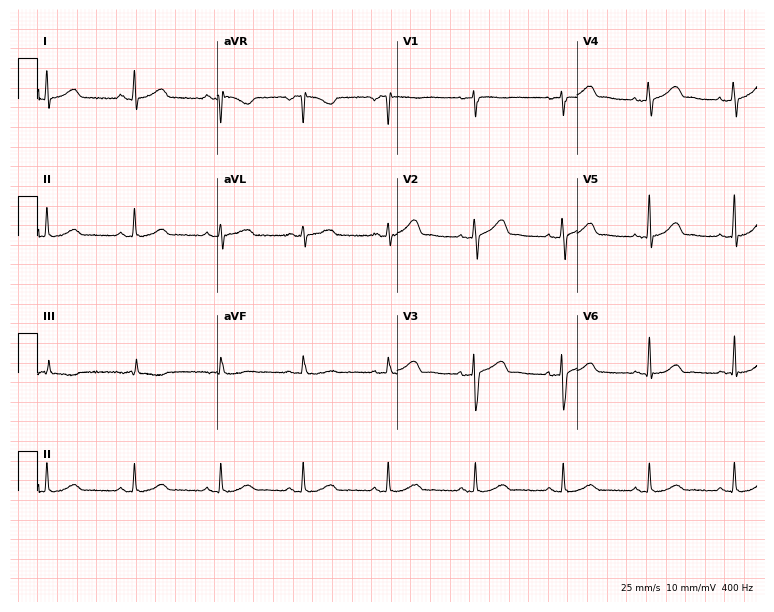
ECG (7.3-second recording at 400 Hz) — a 39-year-old female. Labelled as a normal ECG.